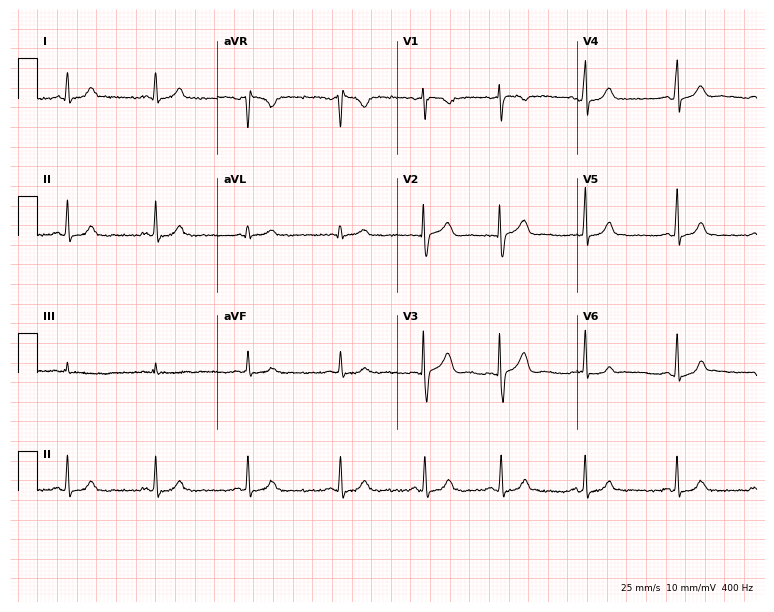
12-lead ECG from a female patient, 24 years old. Recorded interpretation: within normal limits.